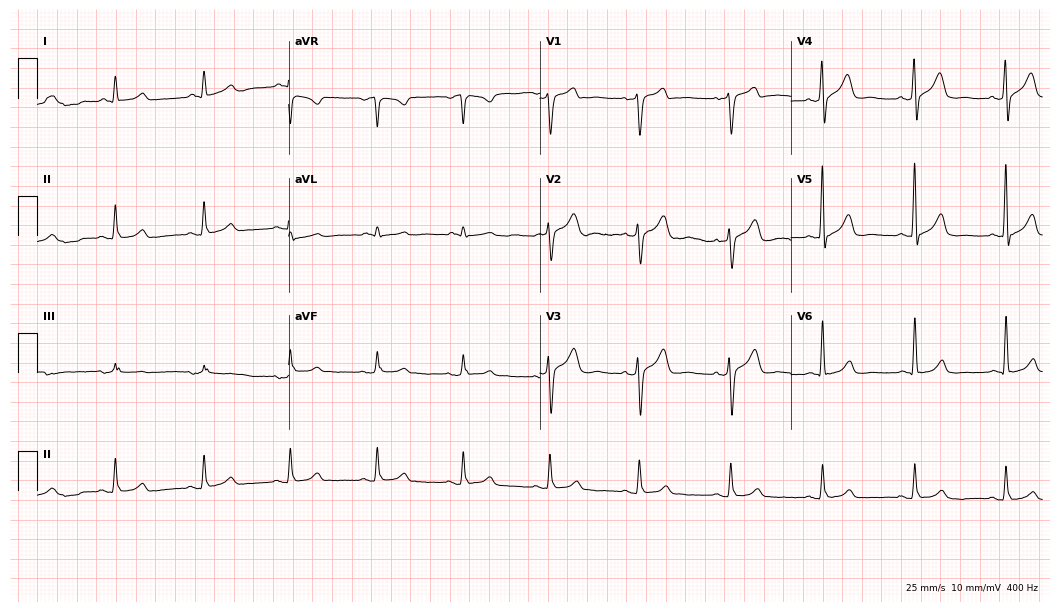
12-lead ECG (10.2-second recording at 400 Hz) from a 63-year-old male. Labelled as a normal ECG.